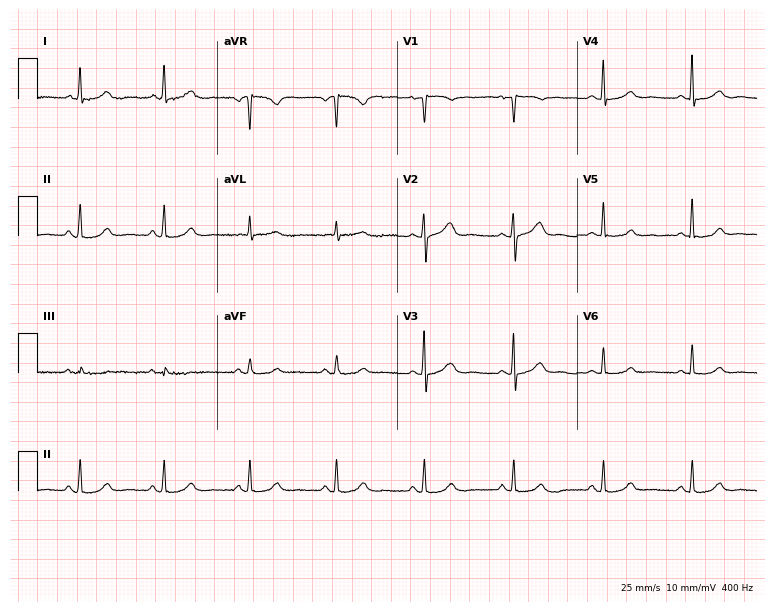
Standard 12-lead ECG recorded from a 77-year-old woman. Read as a normal ECG.